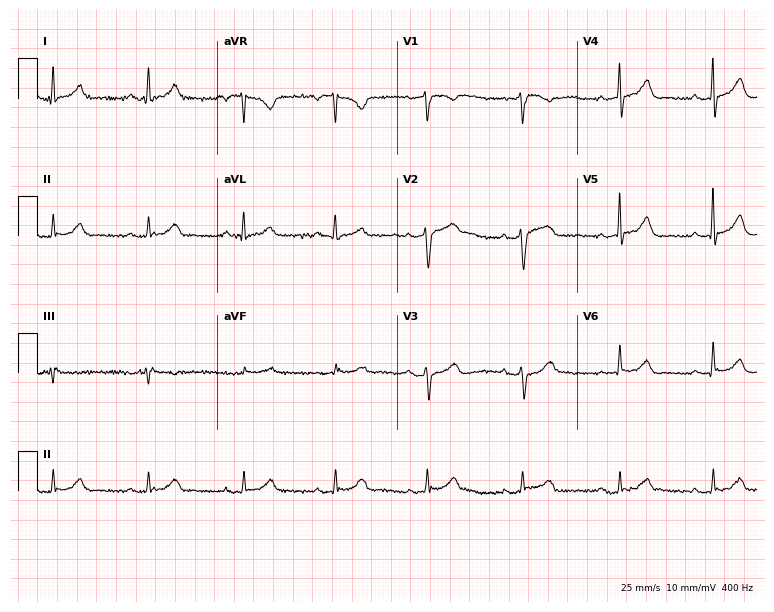
Electrocardiogram, a male patient, 62 years old. Overall reading on record: normal ECG.